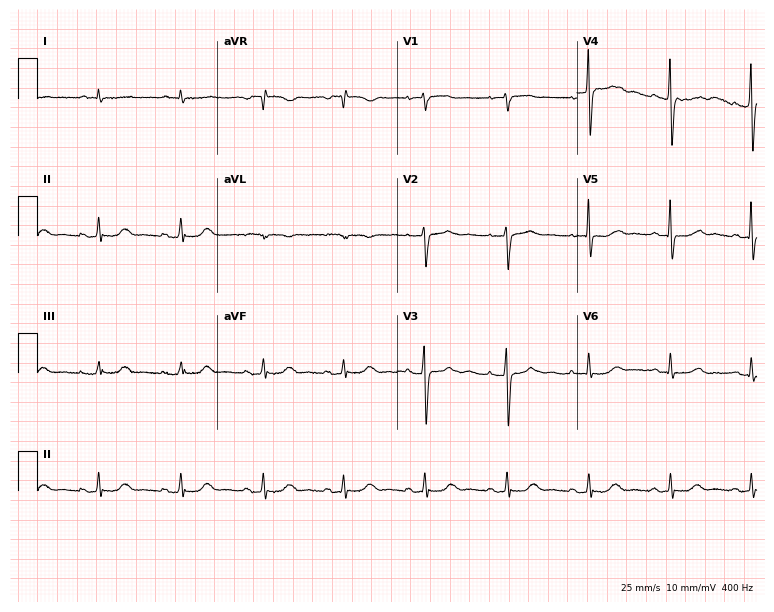
12-lead ECG from a woman, 63 years old. No first-degree AV block, right bundle branch block, left bundle branch block, sinus bradycardia, atrial fibrillation or sinus tachycardia recorded for this tracing. Other findings, if any, are not listed.